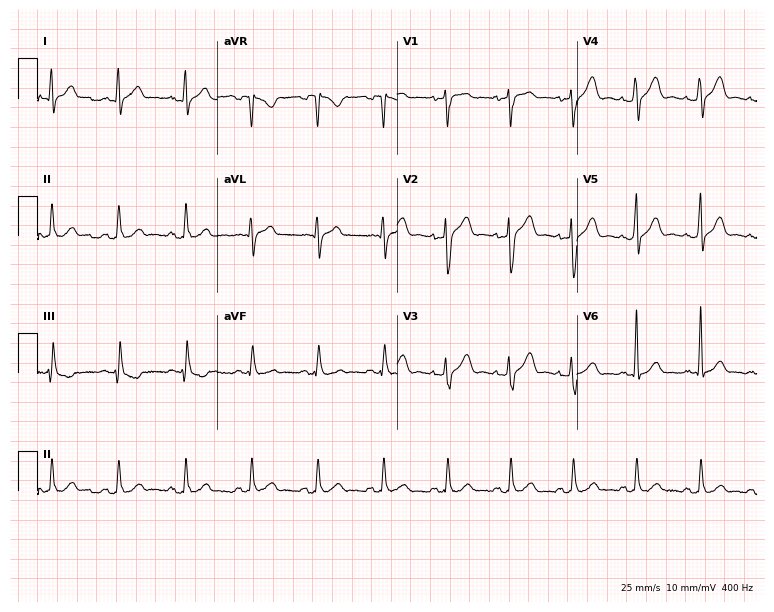
12-lead ECG from a male, 34 years old (7.3-second recording at 400 Hz). No first-degree AV block, right bundle branch block (RBBB), left bundle branch block (LBBB), sinus bradycardia, atrial fibrillation (AF) or sinus tachycardia recorded for this tracing. Findings outside these six are not listed.